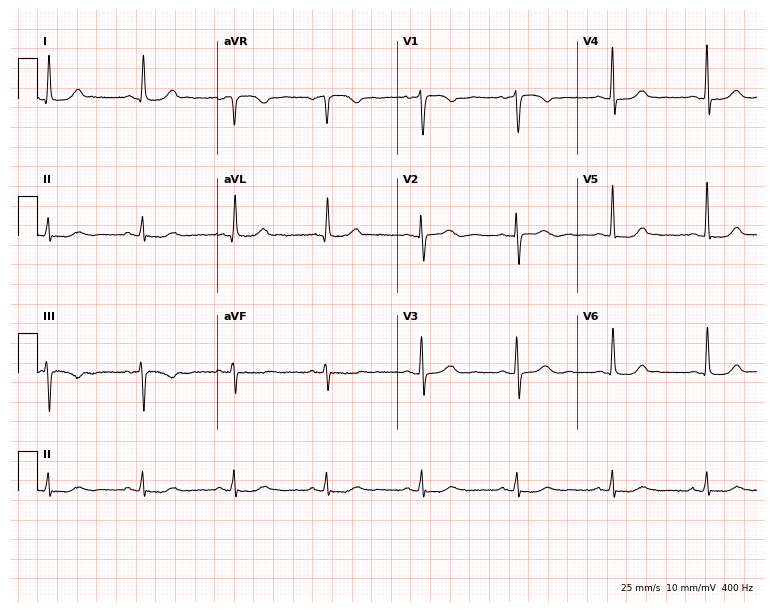
Resting 12-lead electrocardiogram. Patient: a 63-year-old female. Read as a normal ECG.